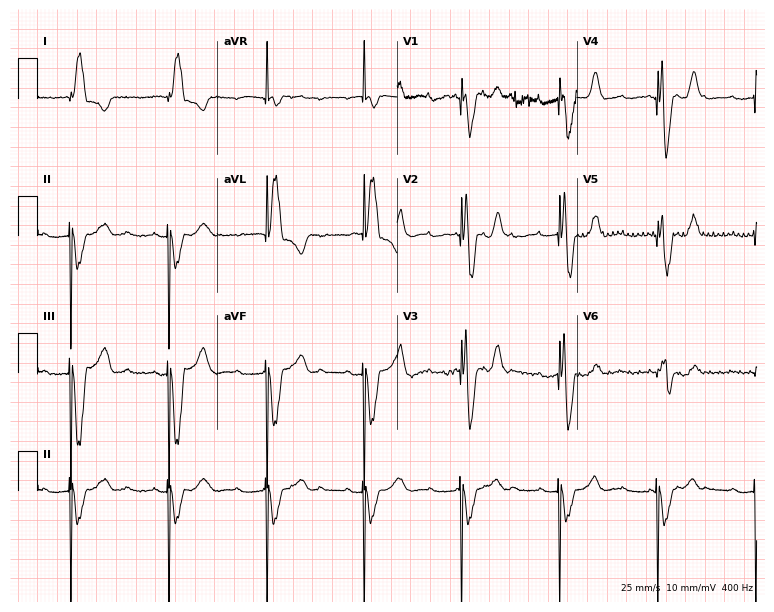
12-lead ECG (7.3-second recording at 400 Hz) from an 80-year-old woman. Screened for six findings — first-degree AV block, right bundle branch block, left bundle branch block, sinus bradycardia, atrial fibrillation, sinus tachycardia — none is recorded.